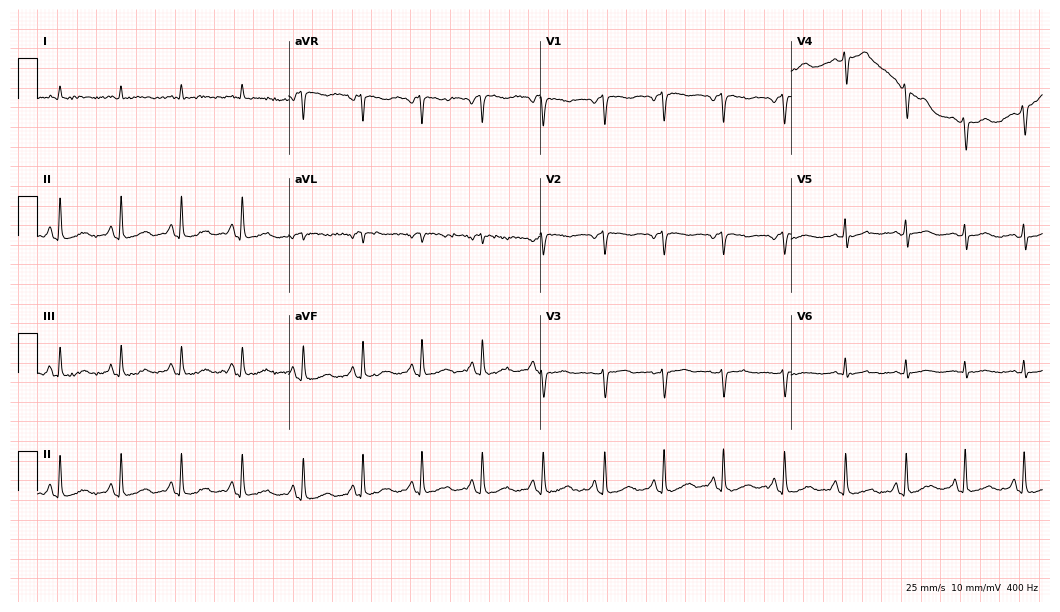
12-lead ECG (10.2-second recording at 400 Hz) from a 49-year-old female patient. Screened for six findings — first-degree AV block, right bundle branch block, left bundle branch block, sinus bradycardia, atrial fibrillation, sinus tachycardia — none is recorded.